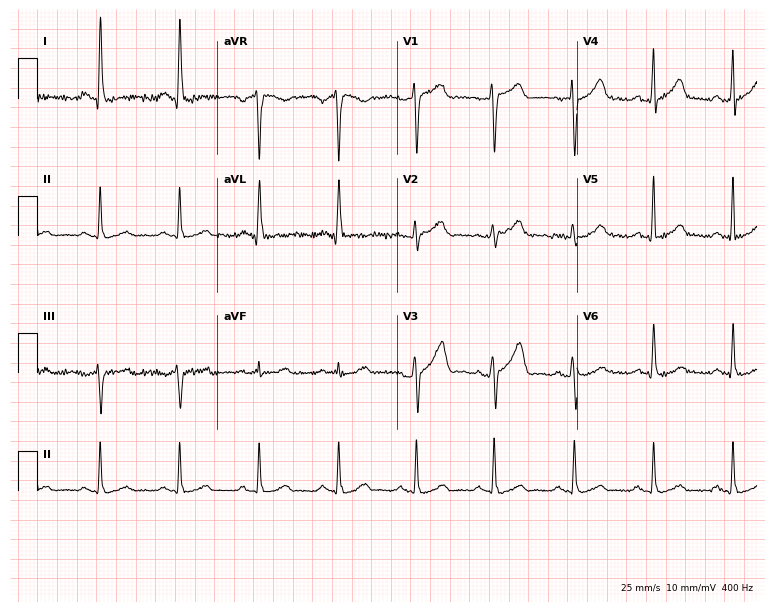
12-lead ECG (7.3-second recording at 400 Hz) from a female patient, 35 years old. Labelled as a normal ECG.